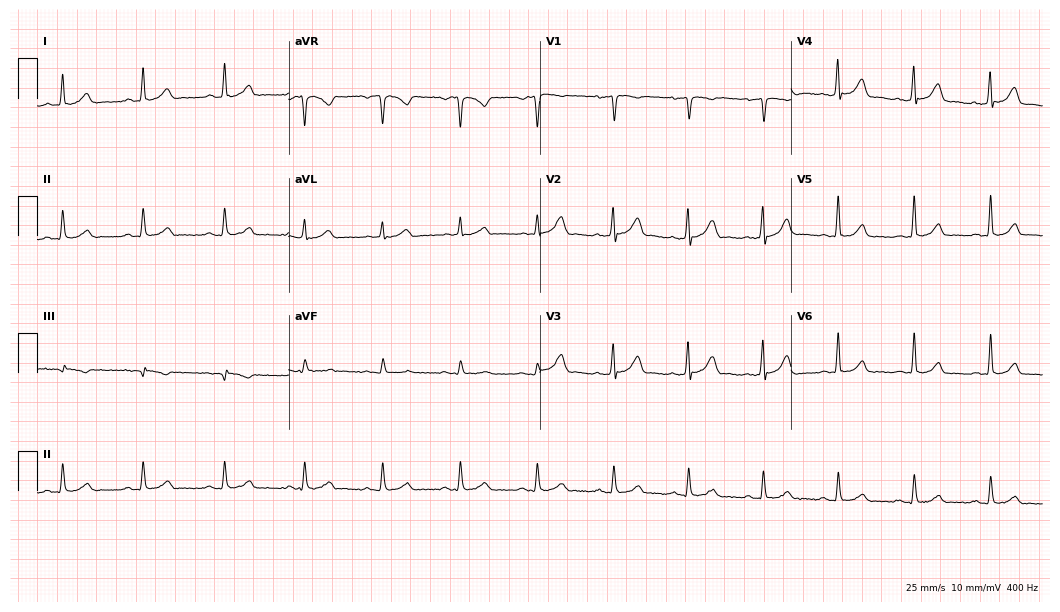
Standard 12-lead ECG recorded from a male, 44 years old (10.2-second recording at 400 Hz). Read as a normal ECG.